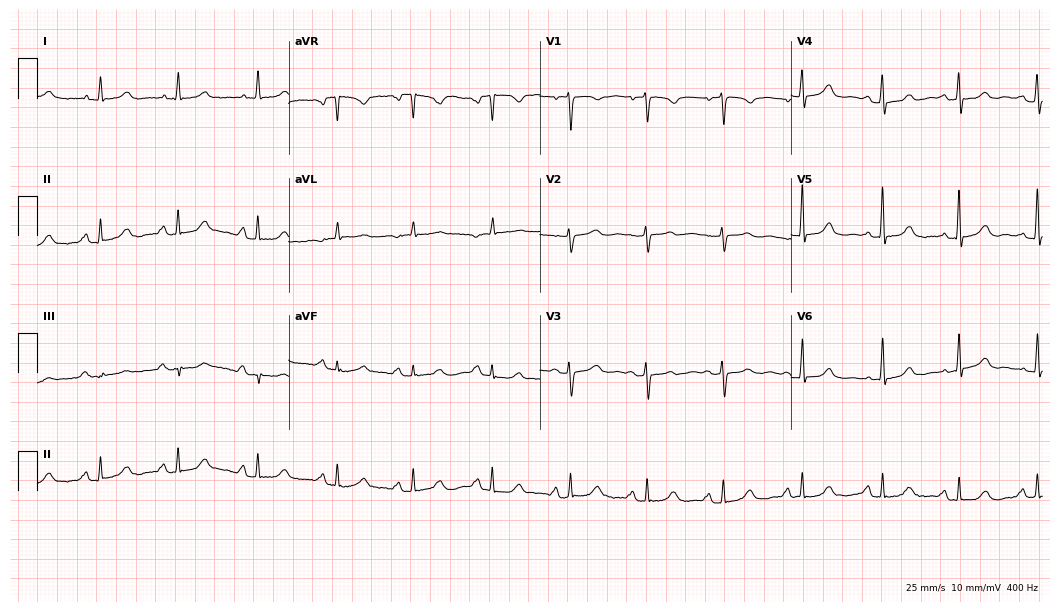
Resting 12-lead electrocardiogram (10.2-second recording at 400 Hz). Patient: a woman, 79 years old. Read as a normal ECG.